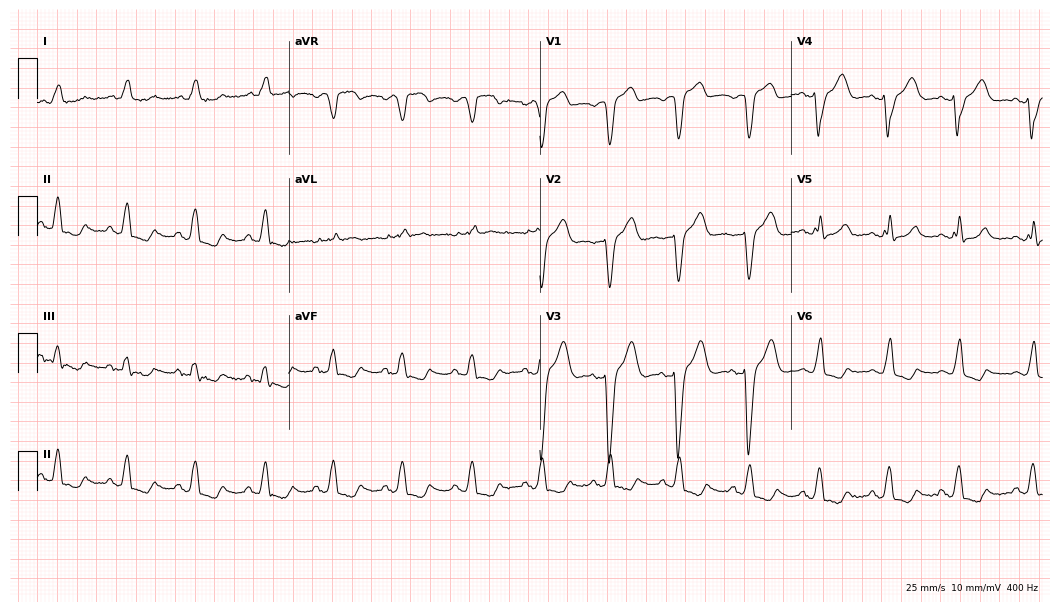
12-lead ECG from an 80-year-old woman (10.2-second recording at 400 Hz). Shows left bundle branch block.